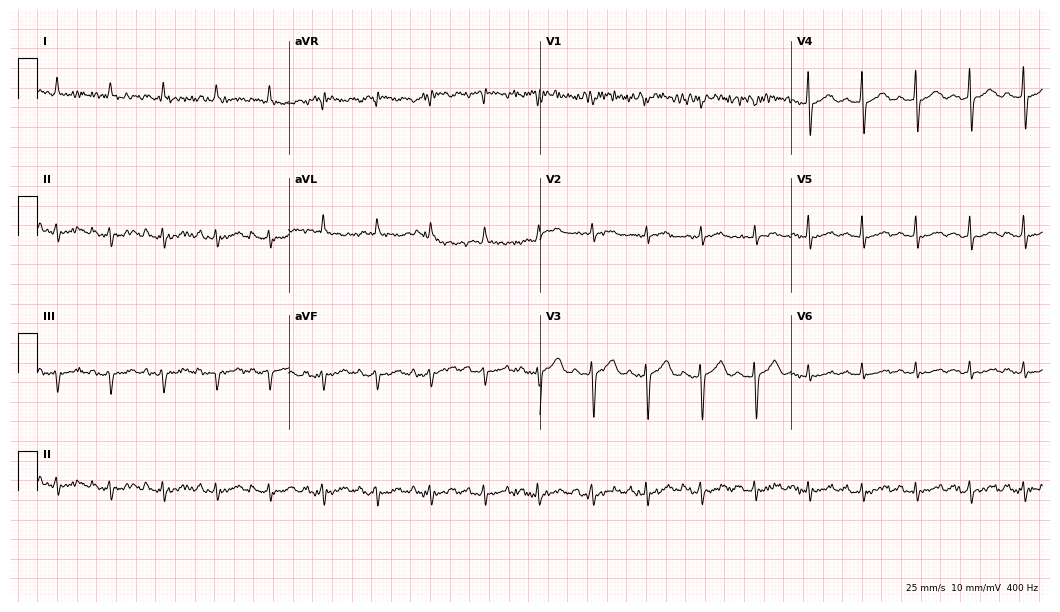
Standard 12-lead ECG recorded from a male patient, 84 years old (10.2-second recording at 400 Hz). None of these six findings is recorded: first-degree AV block, right bundle branch block (RBBB), left bundle branch block (LBBB), sinus bradycardia, atrial fibrillation (AF), sinus tachycardia.